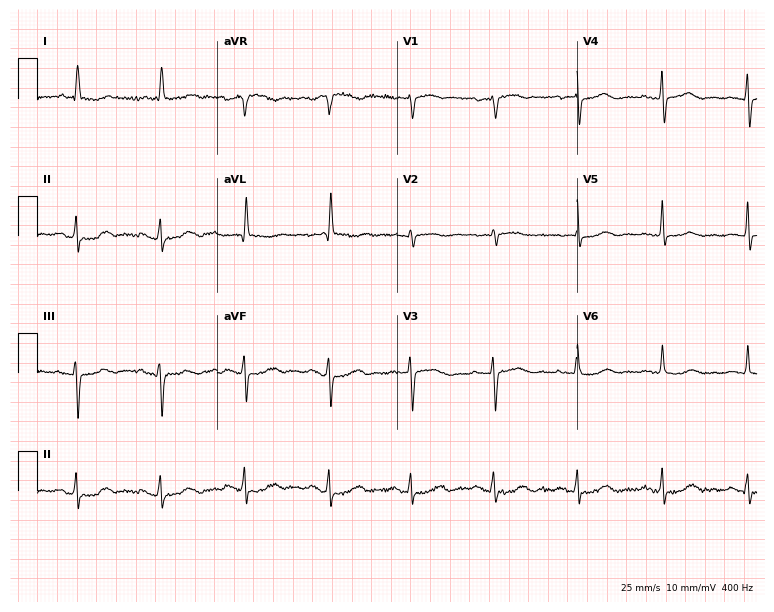
Electrocardiogram (7.3-second recording at 400 Hz), a 77-year-old woman. Interpretation includes first-degree AV block.